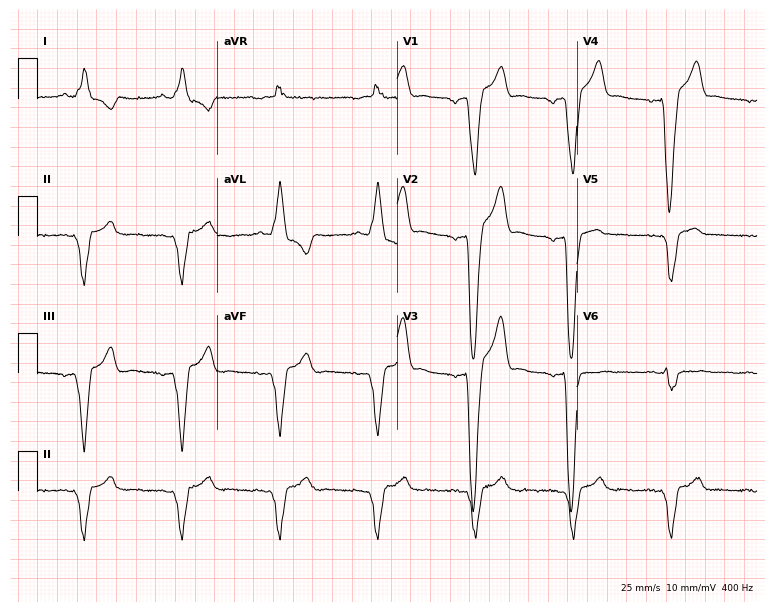
ECG — a 70-year-old male. Findings include left bundle branch block (LBBB).